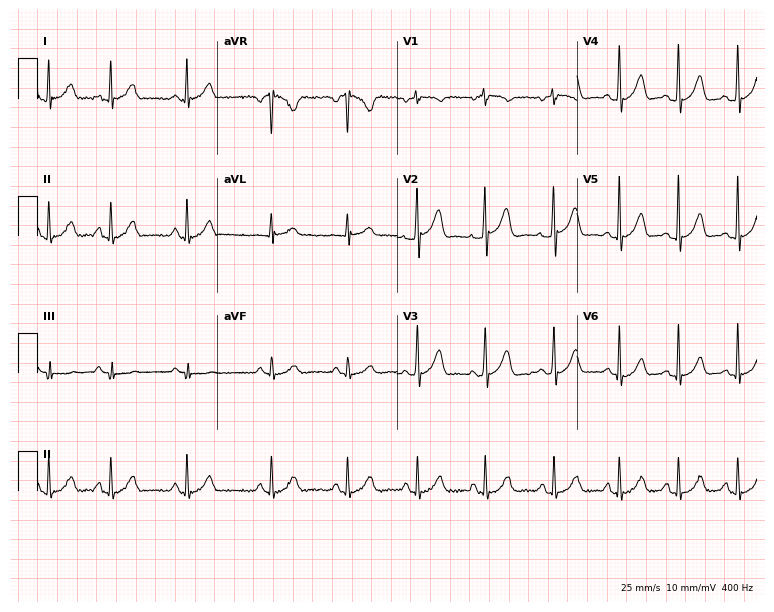
Resting 12-lead electrocardiogram. Patient: a 23-year-old woman. Read as a normal ECG.